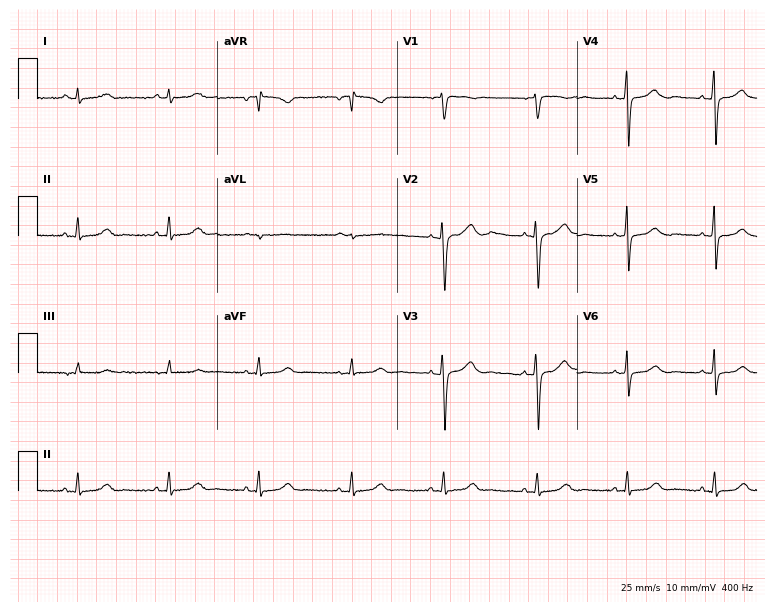
12-lead ECG from a female patient, 51 years old (7.3-second recording at 400 Hz). No first-degree AV block, right bundle branch block (RBBB), left bundle branch block (LBBB), sinus bradycardia, atrial fibrillation (AF) or sinus tachycardia recorded for this tracing. Only these six findings were labelled.